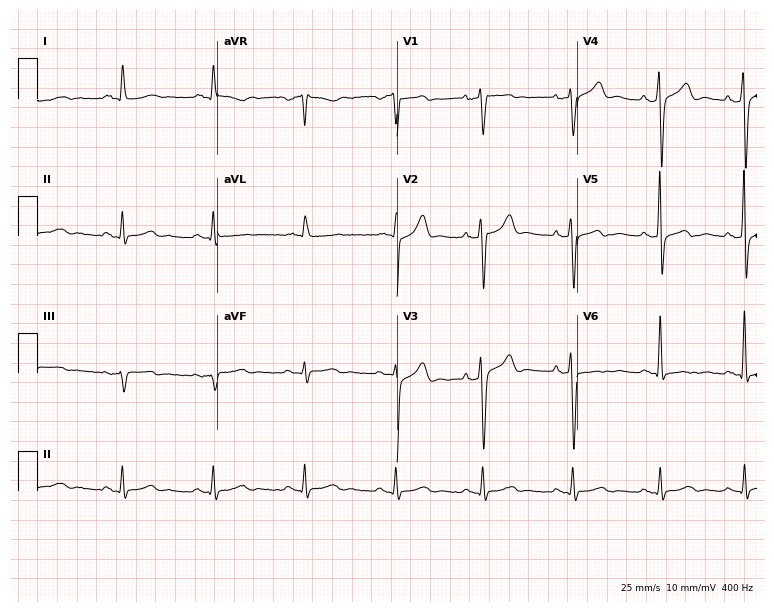
Resting 12-lead electrocardiogram. Patient: a male, 73 years old. None of these six findings is recorded: first-degree AV block, right bundle branch block (RBBB), left bundle branch block (LBBB), sinus bradycardia, atrial fibrillation (AF), sinus tachycardia.